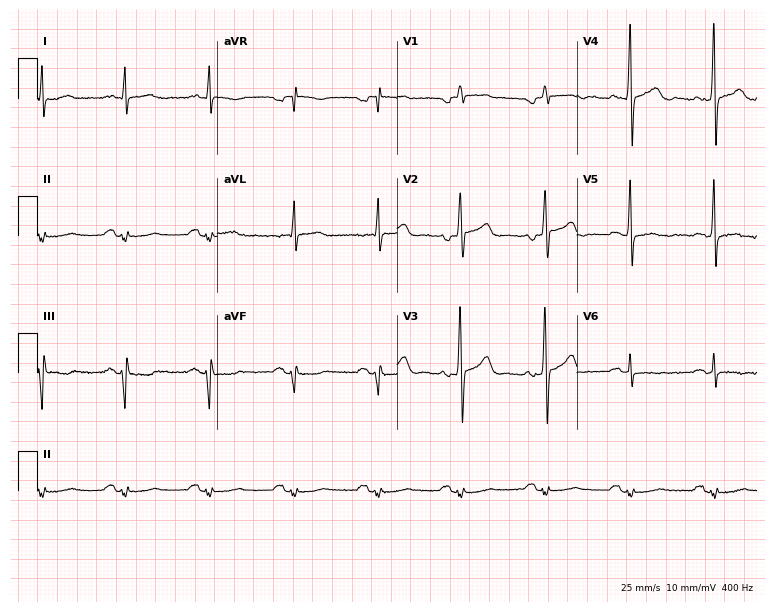
Standard 12-lead ECG recorded from a 59-year-old man. None of these six findings is recorded: first-degree AV block, right bundle branch block (RBBB), left bundle branch block (LBBB), sinus bradycardia, atrial fibrillation (AF), sinus tachycardia.